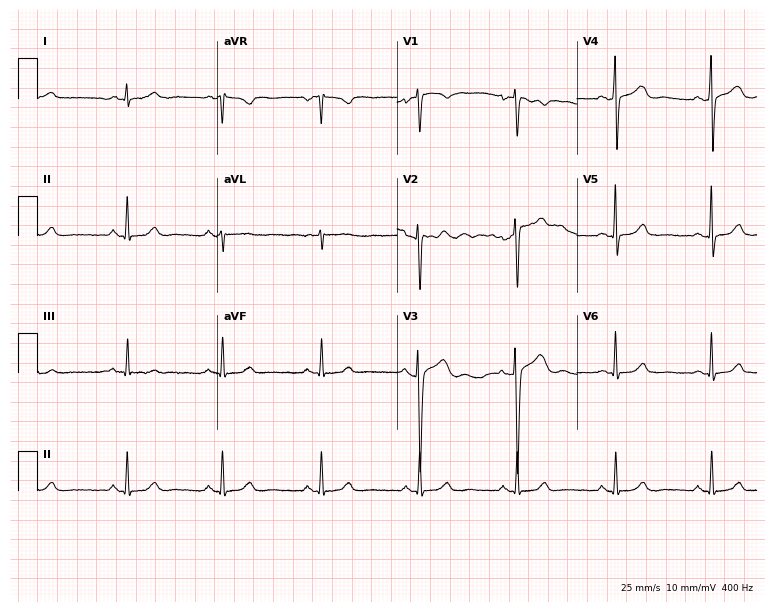
12-lead ECG (7.3-second recording at 400 Hz) from a 34-year-old female patient. Labelled as a normal ECG.